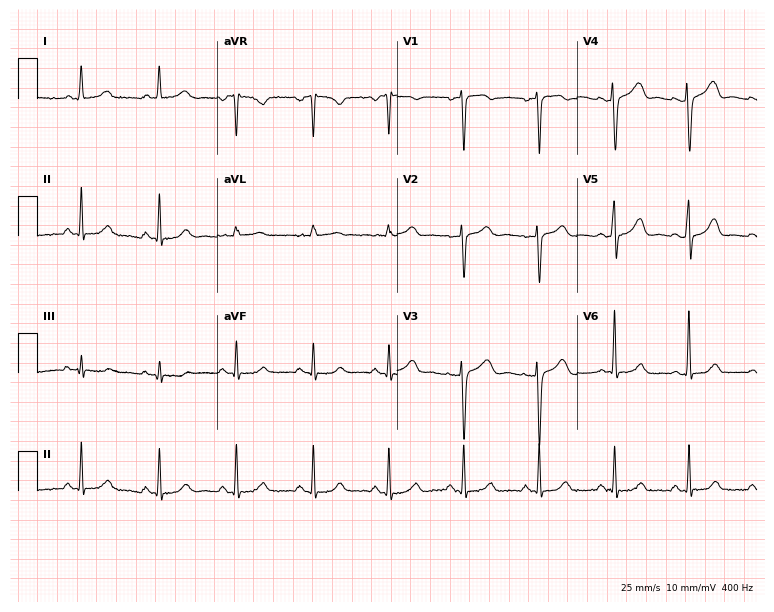
12-lead ECG from a female patient, 47 years old. Recorded interpretation: within normal limits.